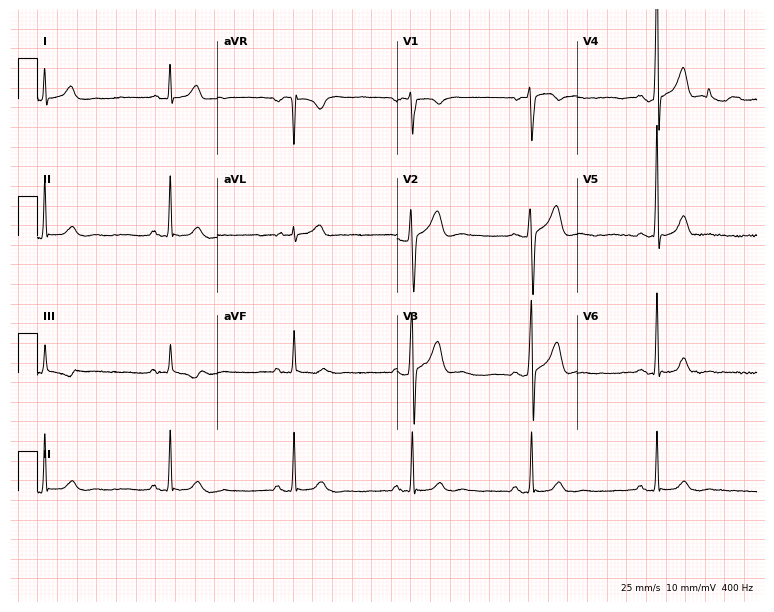
12-lead ECG from a 47-year-old male (7.3-second recording at 400 Hz). Shows sinus bradycardia (a sinus rate of 50 beats per minute or less).